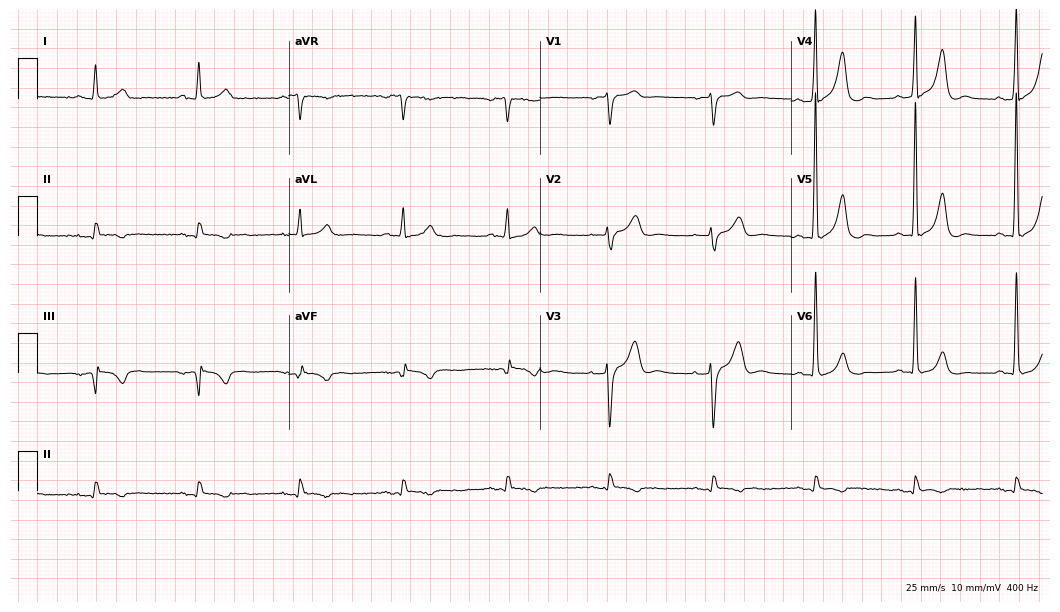
Standard 12-lead ECG recorded from a 72-year-old man (10.2-second recording at 400 Hz). None of these six findings is recorded: first-degree AV block, right bundle branch block, left bundle branch block, sinus bradycardia, atrial fibrillation, sinus tachycardia.